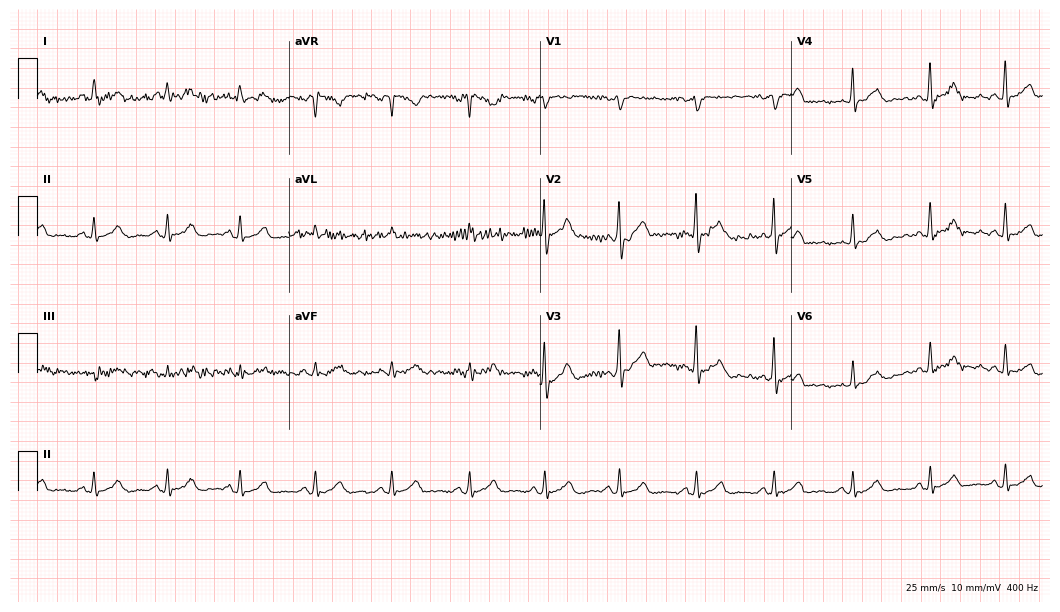
12-lead ECG from a 40-year-old man (10.2-second recording at 400 Hz). Recorded interpretation: within normal limits.